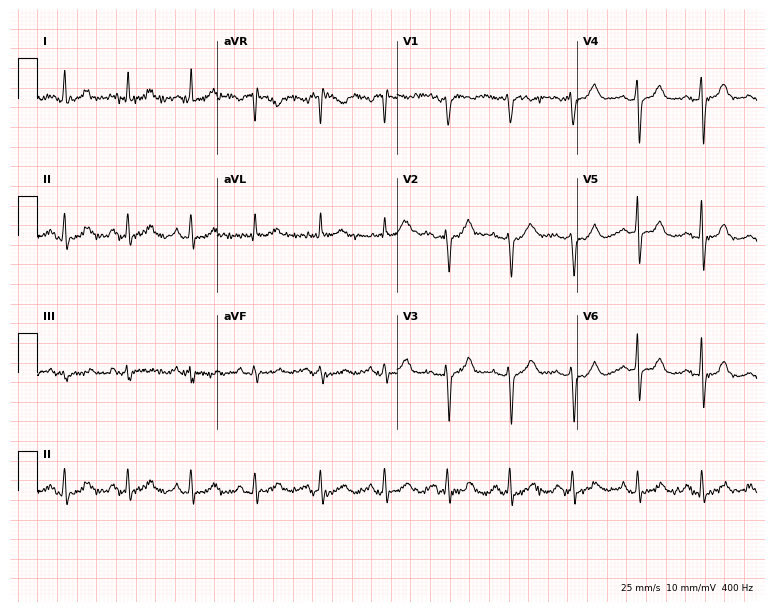
Electrocardiogram (7.3-second recording at 400 Hz), a woman, 64 years old. Of the six screened findings (first-degree AV block, right bundle branch block (RBBB), left bundle branch block (LBBB), sinus bradycardia, atrial fibrillation (AF), sinus tachycardia), none is recorded. Only these six findings were labelled.